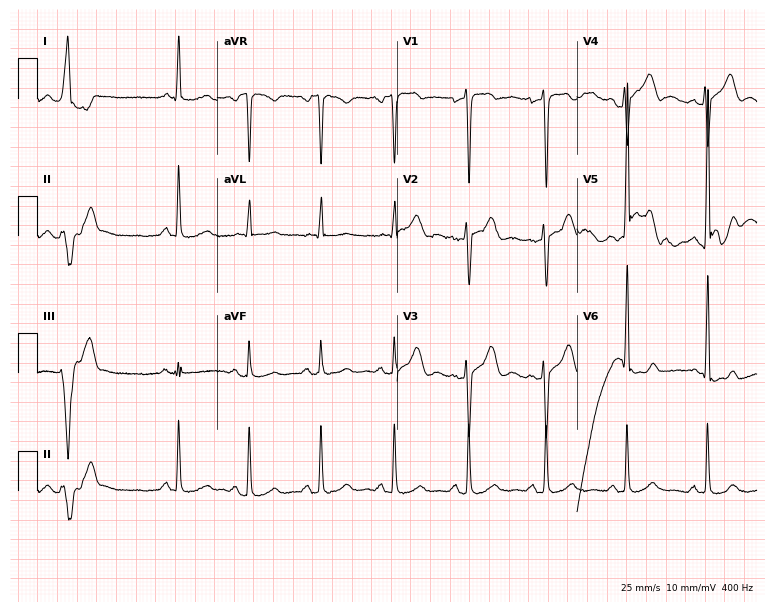
Electrocardiogram (7.3-second recording at 400 Hz), a man, 43 years old. Of the six screened findings (first-degree AV block, right bundle branch block, left bundle branch block, sinus bradycardia, atrial fibrillation, sinus tachycardia), none is recorded. Other findings, if any, are not listed.